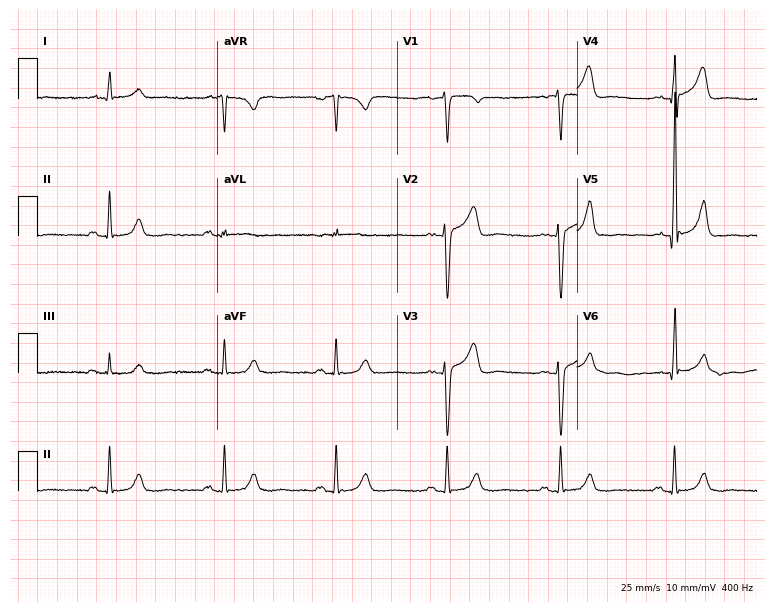
ECG — a 73-year-old male patient. Labelled as a normal ECG.